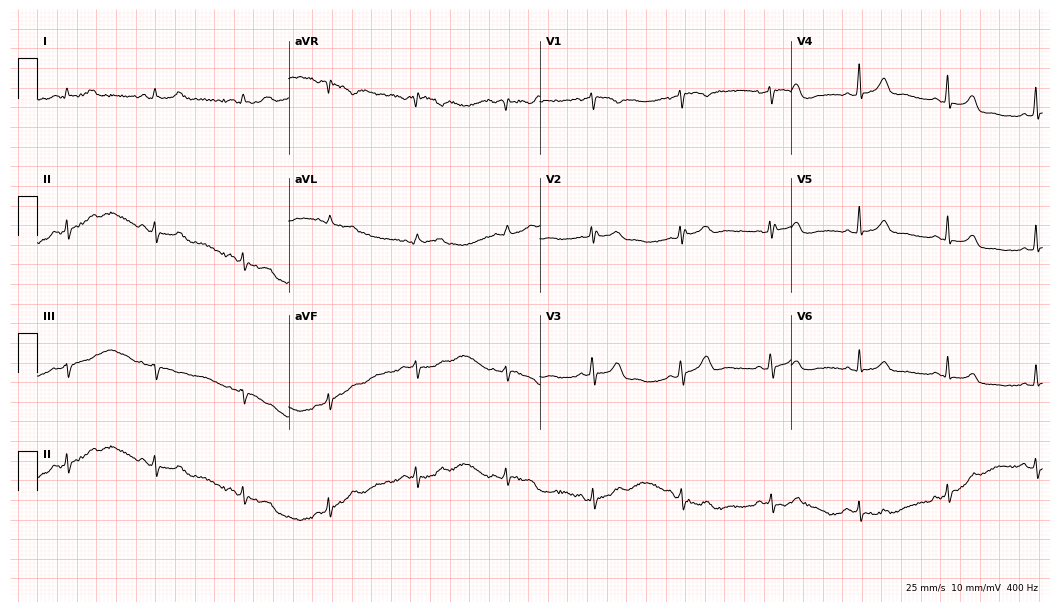
Standard 12-lead ECG recorded from a 42-year-old female patient. Read as a normal ECG.